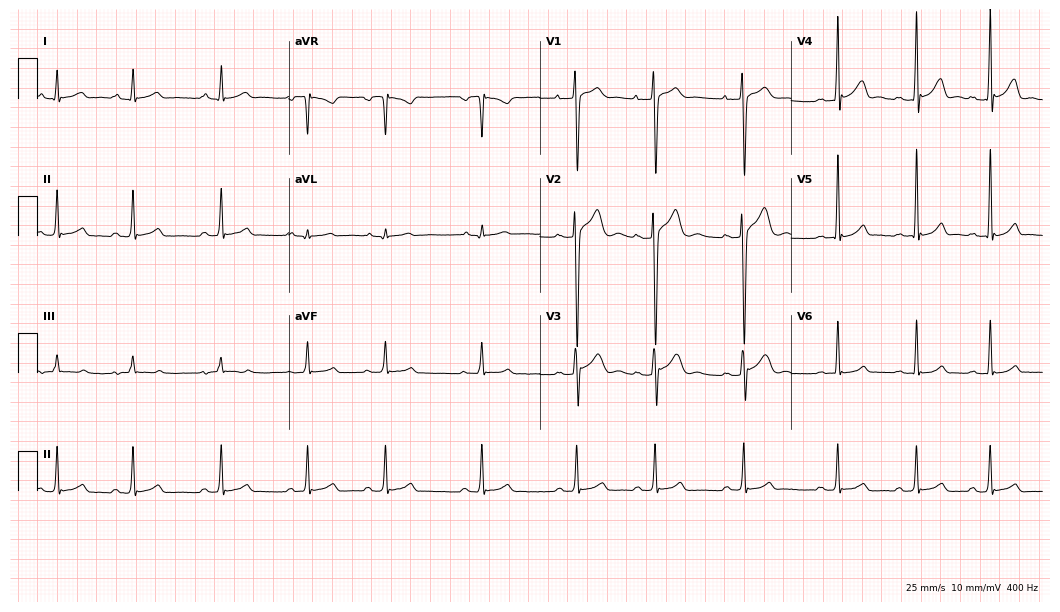
Resting 12-lead electrocardiogram. Patient: a male, 17 years old. Read as a normal ECG.